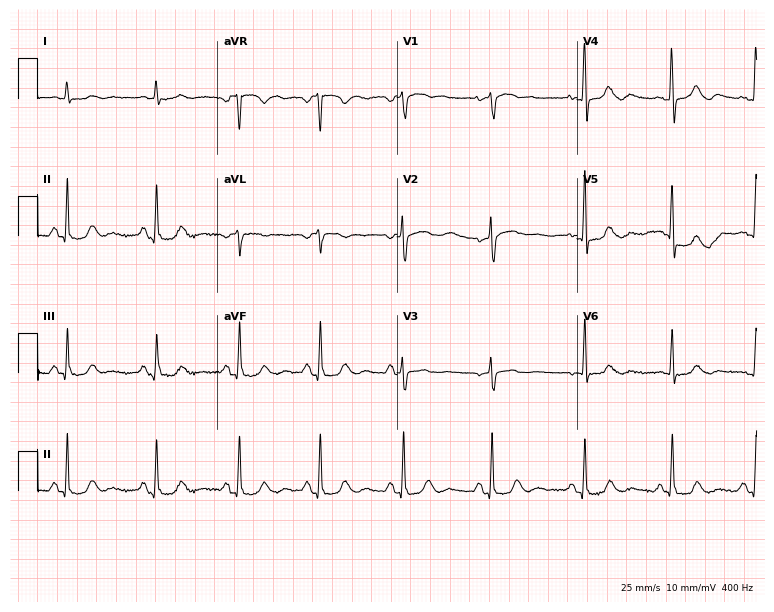
12-lead ECG from a female, 73 years old (7.3-second recording at 400 Hz). No first-degree AV block, right bundle branch block (RBBB), left bundle branch block (LBBB), sinus bradycardia, atrial fibrillation (AF) or sinus tachycardia recorded for this tracing. Only these six findings were labelled.